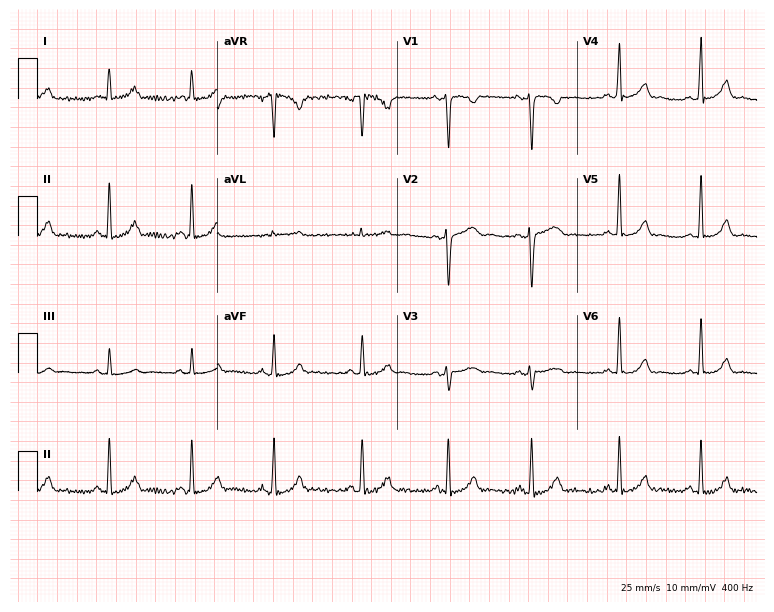
Standard 12-lead ECG recorded from a woman, 25 years old (7.3-second recording at 400 Hz). Read as a normal ECG.